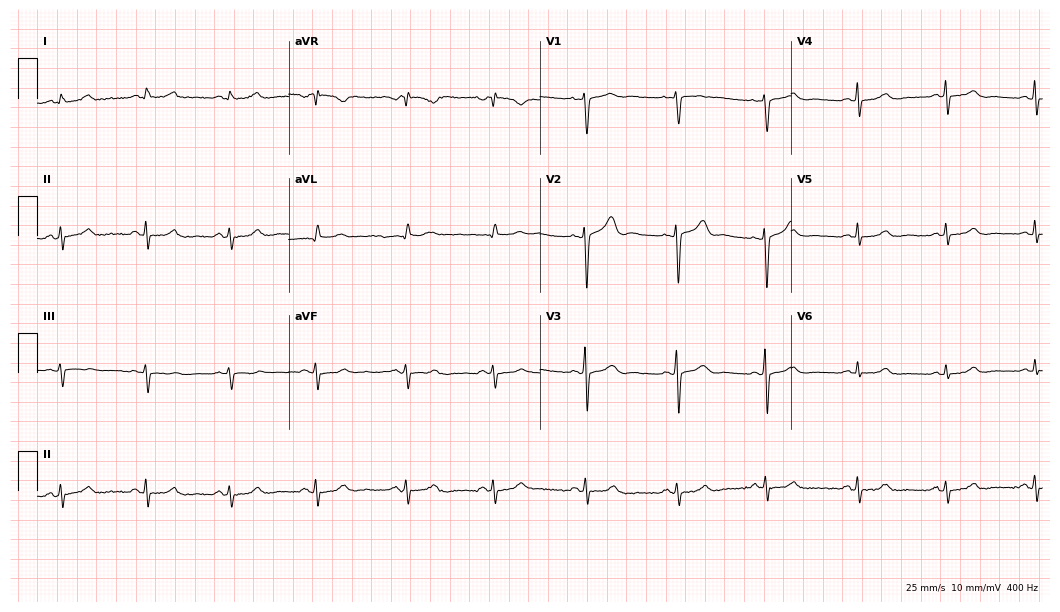
Standard 12-lead ECG recorded from a 43-year-old female patient (10.2-second recording at 400 Hz). None of these six findings is recorded: first-degree AV block, right bundle branch block (RBBB), left bundle branch block (LBBB), sinus bradycardia, atrial fibrillation (AF), sinus tachycardia. Only these six findings were labelled.